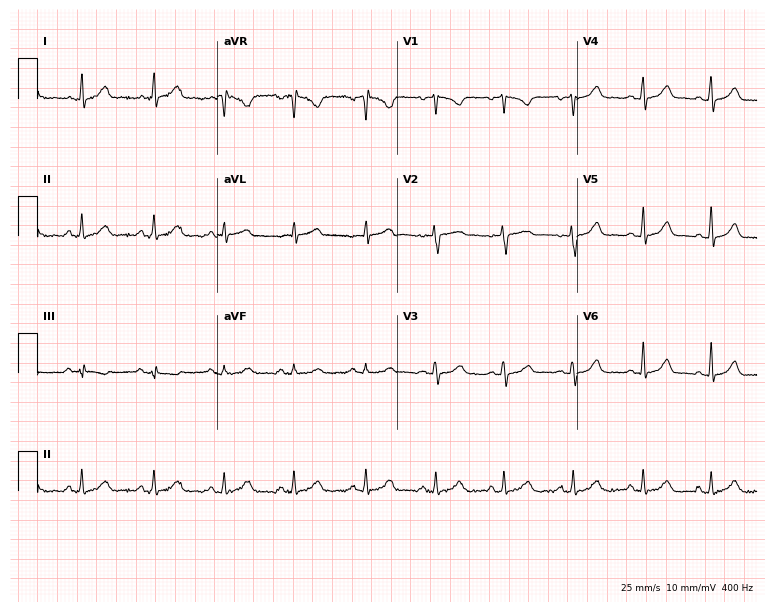
Electrocardiogram (7.3-second recording at 400 Hz), a female, 45 years old. Overall reading on record: normal ECG.